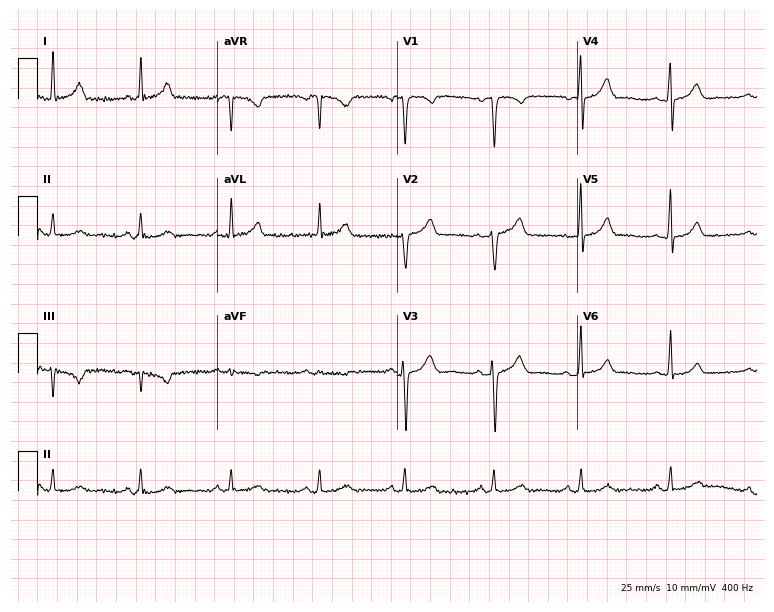
Standard 12-lead ECG recorded from a 48-year-old woman. Read as a normal ECG.